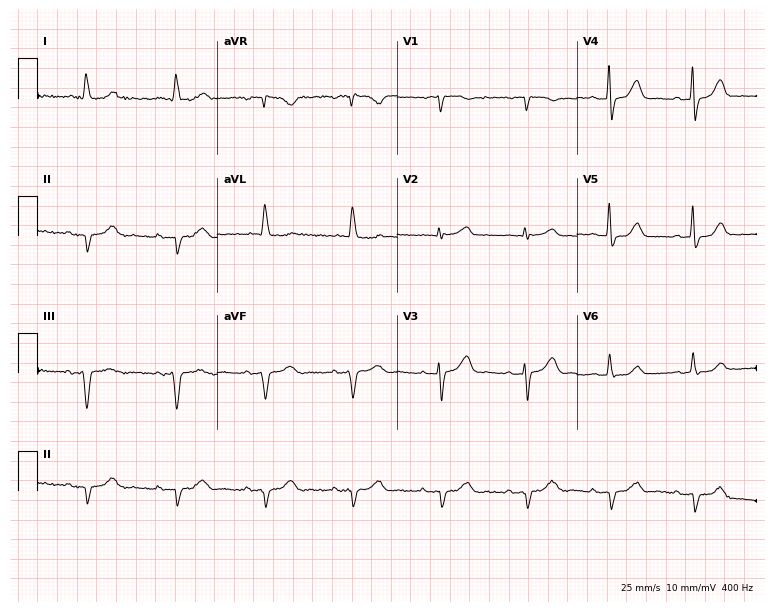
ECG (7.3-second recording at 400 Hz) — a 77-year-old woman. Screened for six findings — first-degree AV block, right bundle branch block, left bundle branch block, sinus bradycardia, atrial fibrillation, sinus tachycardia — none is recorded. Only these six findings were labelled.